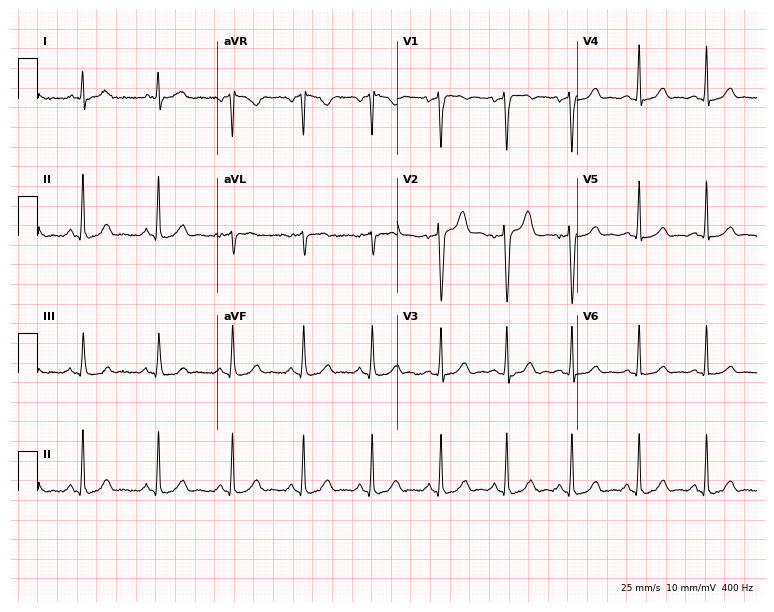
Electrocardiogram, a 34-year-old man. Overall reading on record: normal ECG.